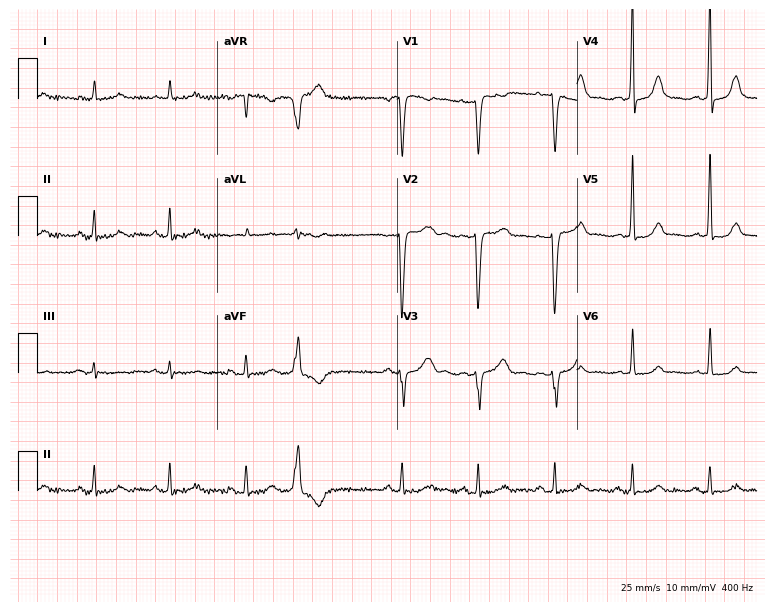
Resting 12-lead electrocardiogram. Patient: a 58-year-old woman. None of these six findings is recorded: first-degree AV block, right bundle branch block, left bundle branch block, sinus bradycardia, atrial fibrillation, sinus tachycardia. Other findings, if any, are not listed.